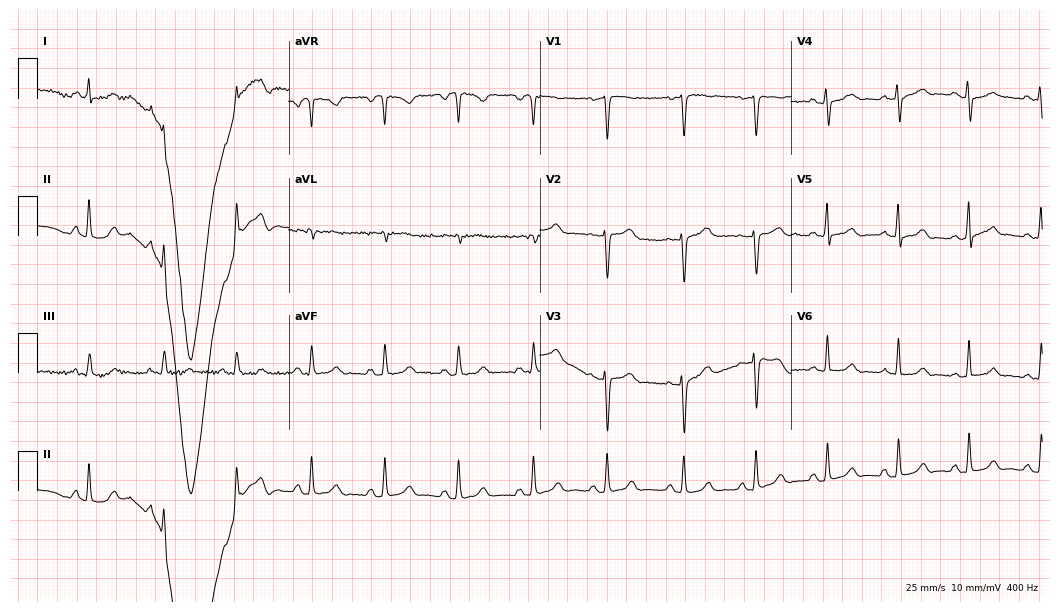
Resting 12-lead electrocardiogram. Patient: a 20-year-old female. None of these six findings is recorded: first-degree AV block, right bundle branch block (RBBB), left bundle branch block (LBBB), sinus bradycardia, atrial fibrillation (AF), sinus tachycardia. Findings outside these six are not listed.